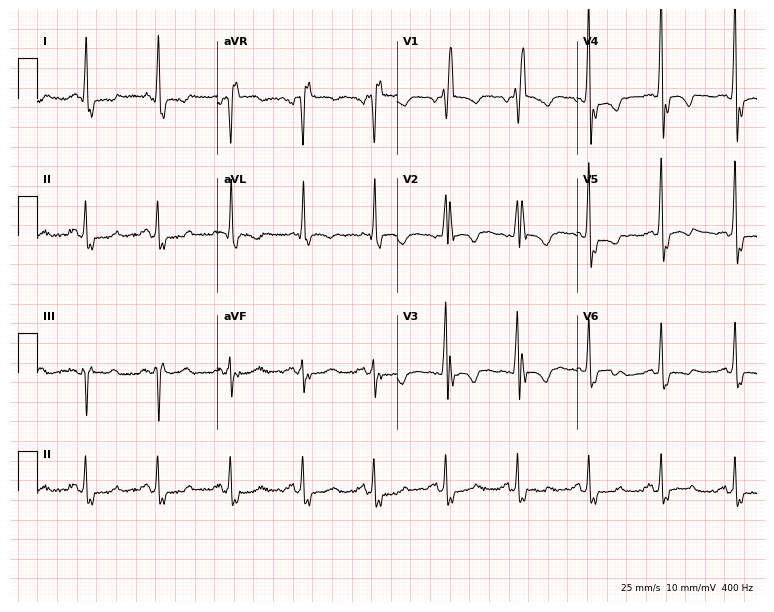
Standard 12-lead ECG recorded from a female patient, 67 years old (7.3-second recording at 400 Hz). The tracing shows right bundle branch block.